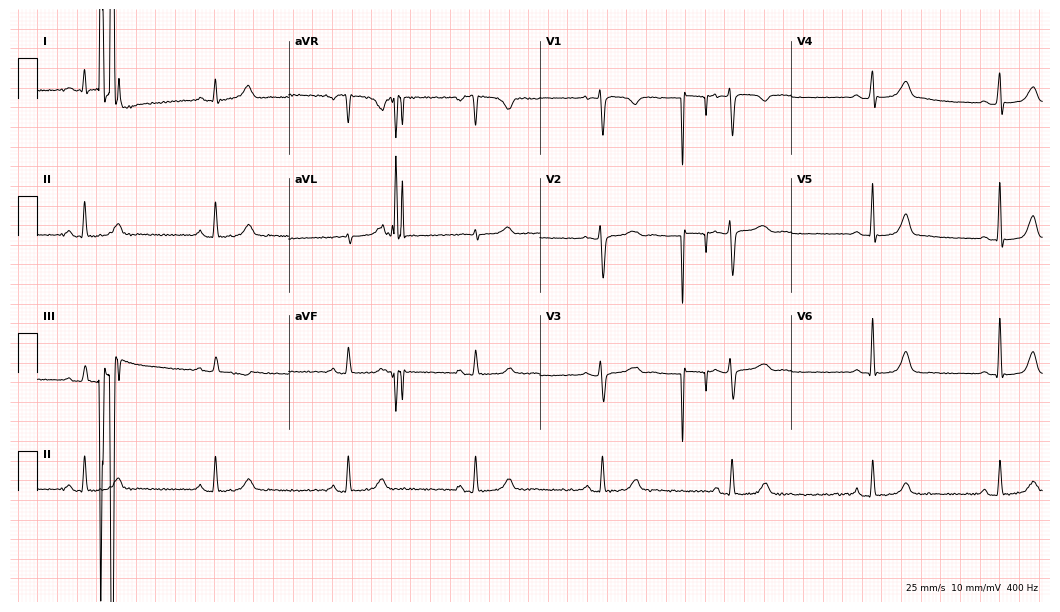
Resting 12-lead electrocardiogram (10.2-second recording at 400 Hz). Patient: a 34-year-old woman. None of these six findings is recorded: first-degree AV block, right bundle branch block (RBBB), left bundle branch block (LBBB), sinus bradycardia, atrial fibrillation (AF), sinus tachycardia.